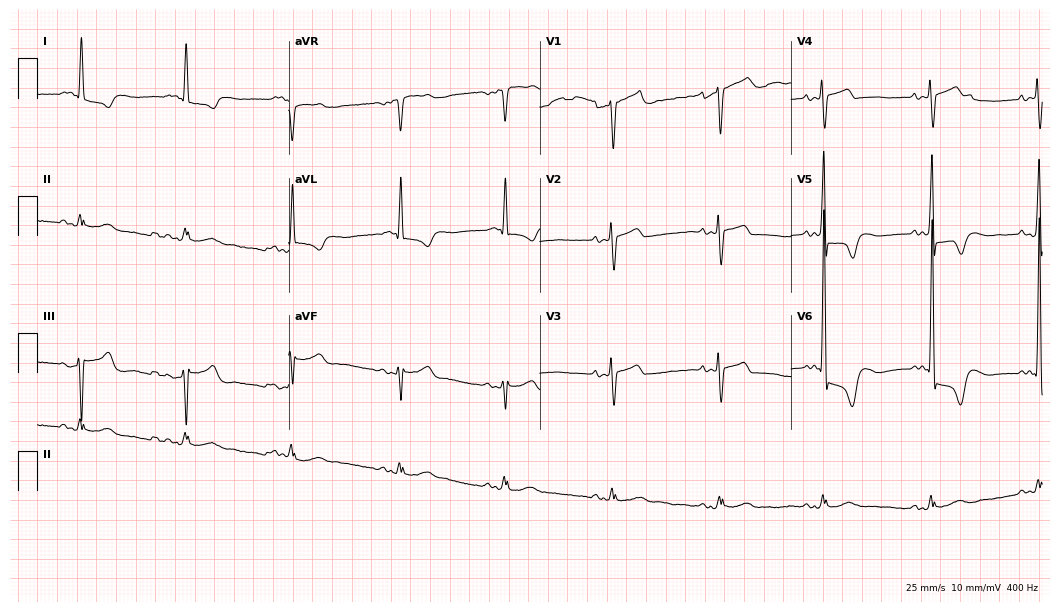
Standard 12-lead ECG recorded from a male patient, 75 years old (10.2-second recording at 400 Hz). None of these six findings is recorded: first-degree AV block, right bundle branch block (RBBB), left bundle branch block (LBBB), sinus bradycardia, atrial fibrillation (AF), sinus tachycardia.